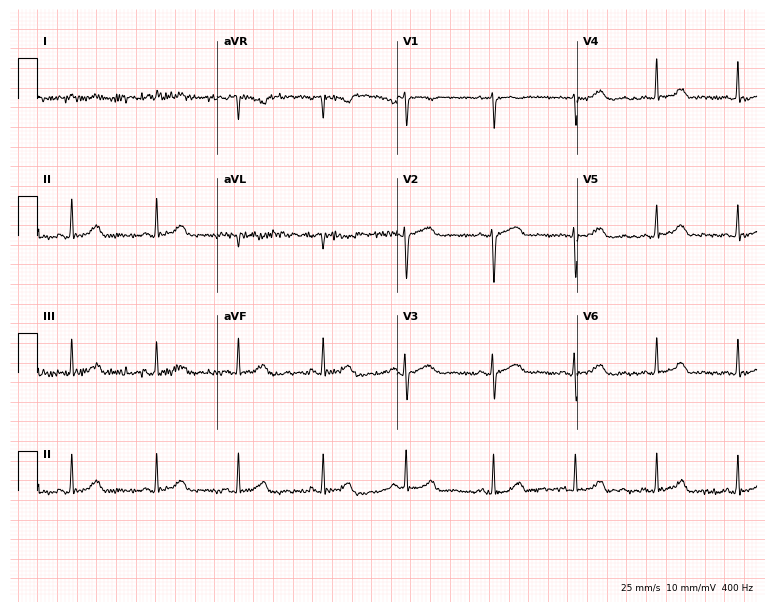
Electrocardiogram, a female, 32 years old. Of the six screened findings (first-degree AV block, right bundle branch block, left bundle branch block, sinus bradycardia, atrial fibrillation, sinus tachycardia), none is recorded.